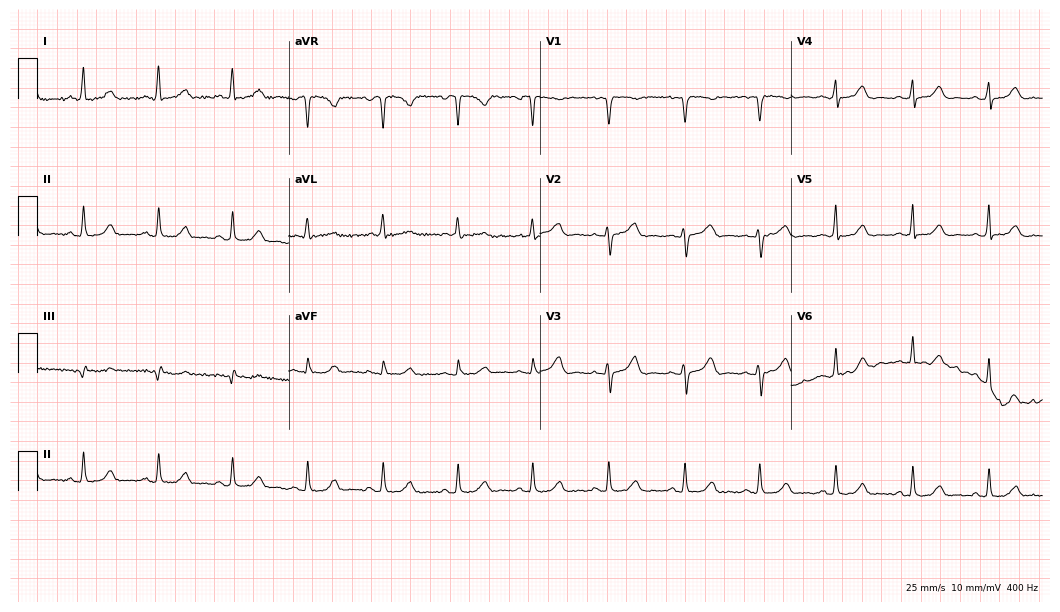
12-lead ECG (10.2-second recording at 400 Hz) from a 64-year-old female. Labelled as a normal ECG.